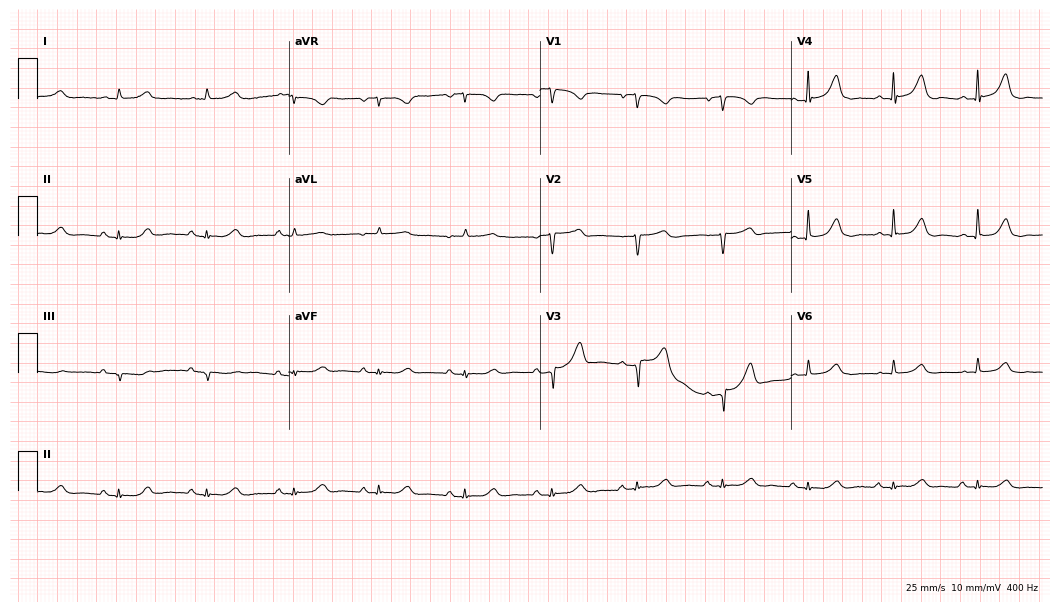
Resting 12-lead electrocardiogram. Patient: a female, 85 years old. Read as a normal ECG.